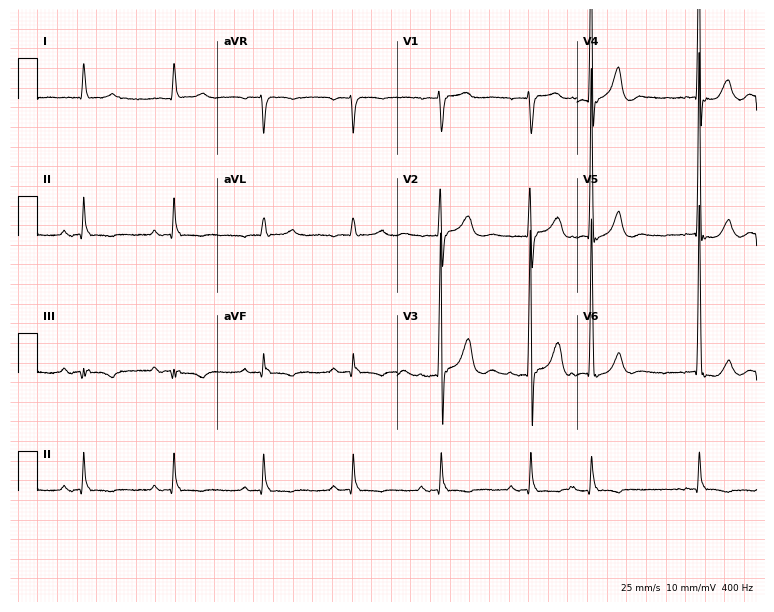
12-lead ECG from a man, 77 years old. No first-degree AV block, right bundle branch block, left bundle branch block, sinus bradycardia, atrial fibrillation or sinus tachycardia recorded for this tracing. Only these six findings were labelled.